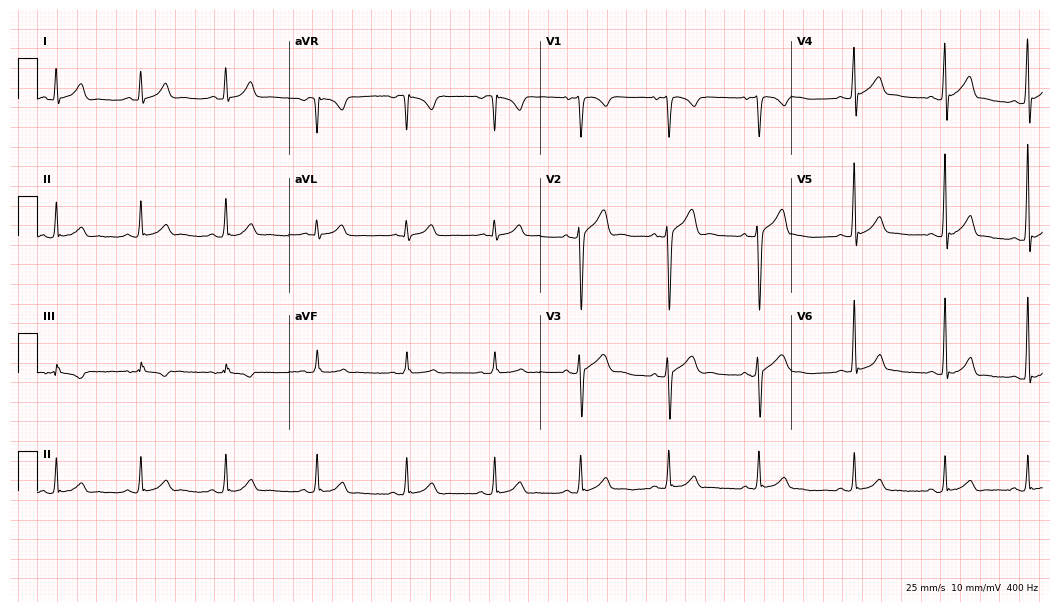
Electrocardiogram (10.2-second recording at 400 Hz), an 18-year-old man. Overall reading on record: normal ECG.